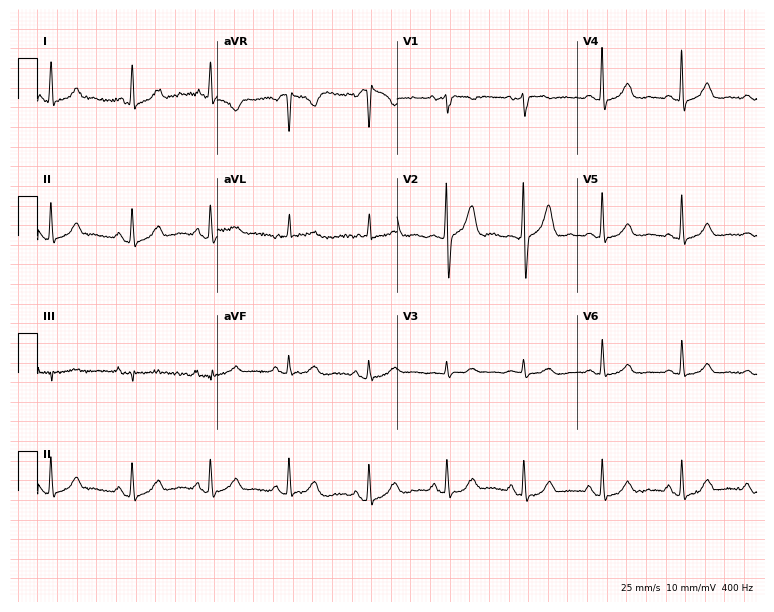
Standard 12-lead ECG recorded from a 56-year-old female (7.3-second recording at 400 Hz). Read as a normal ECG.